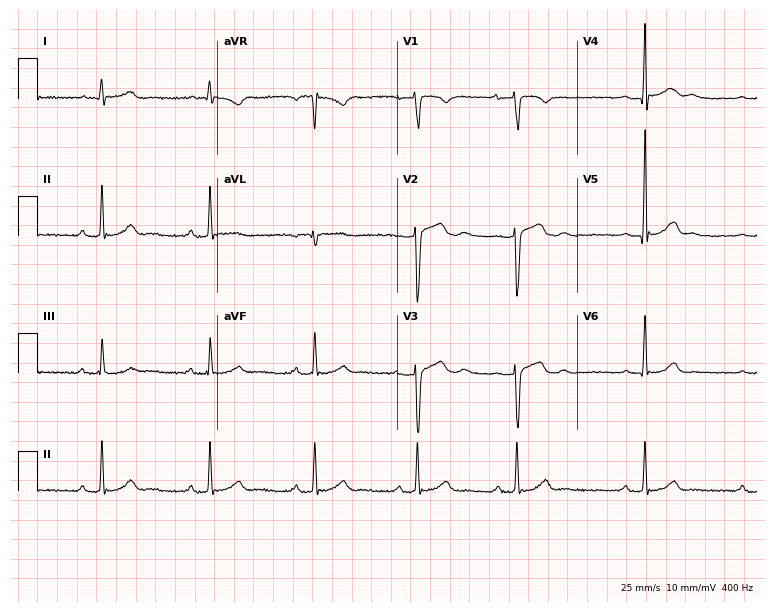
Resting 12-lead electrocardiogram. Patient: an 18-year-old male. Read as a normal ECG.